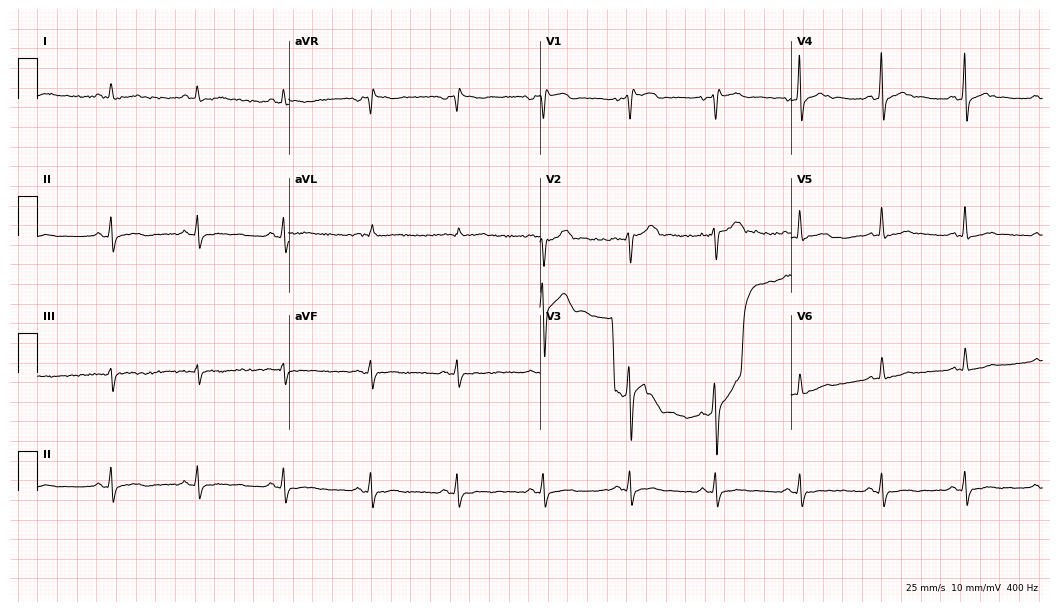
ECG — a 53-year-old female. Screened for six findings — first-degree AV block, right bundle branch block, left bundle branch block, sinus bradycardia, atrial fibrillation, sinus tachycardia — none is recorded.